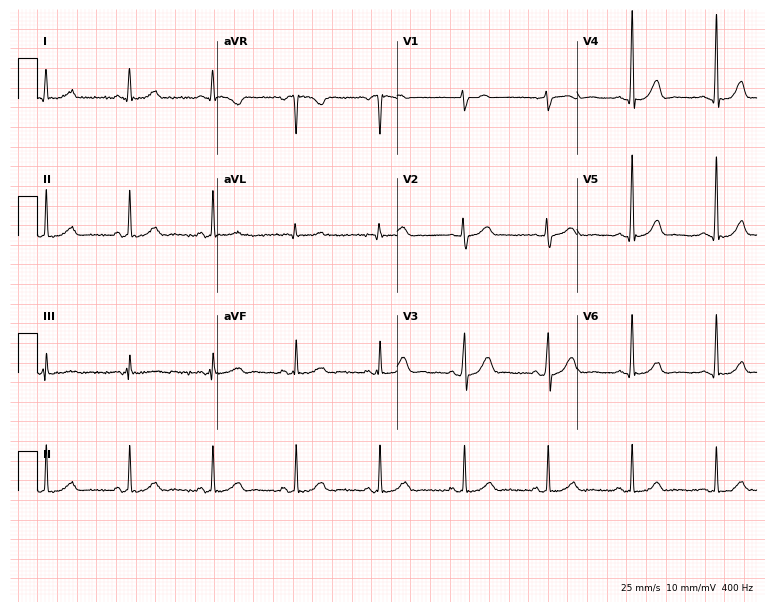
Resting 12-lead electrocardiogram (7.3-second recording at 400 Hz). Patient: a 78-year-old male. Read as a normal ECG.